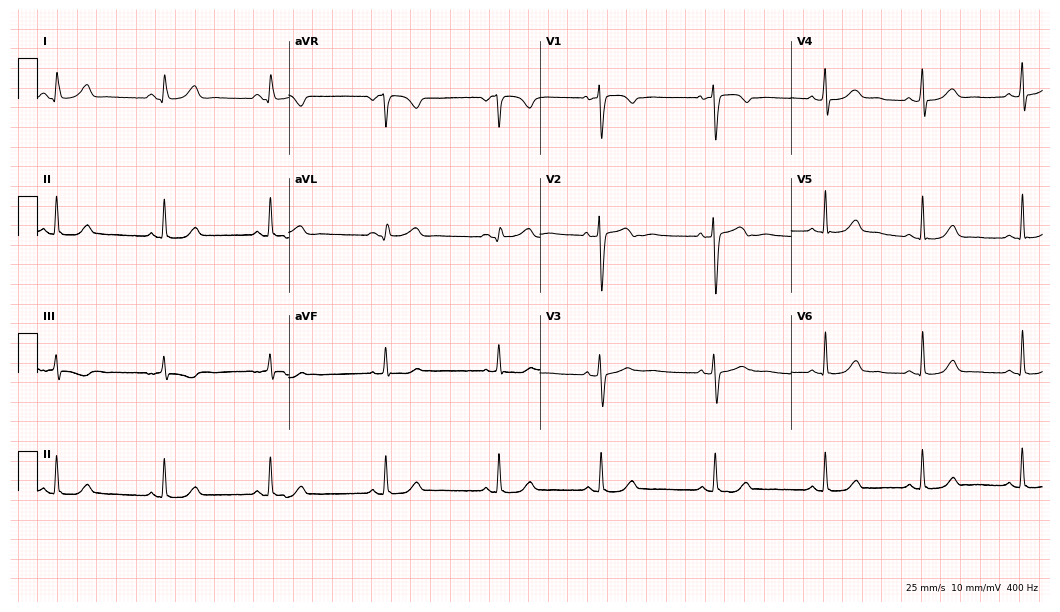
ECG (10.2-second recording at 400 Hz) — a 37-year-old female. Labelled as a normal ECG.